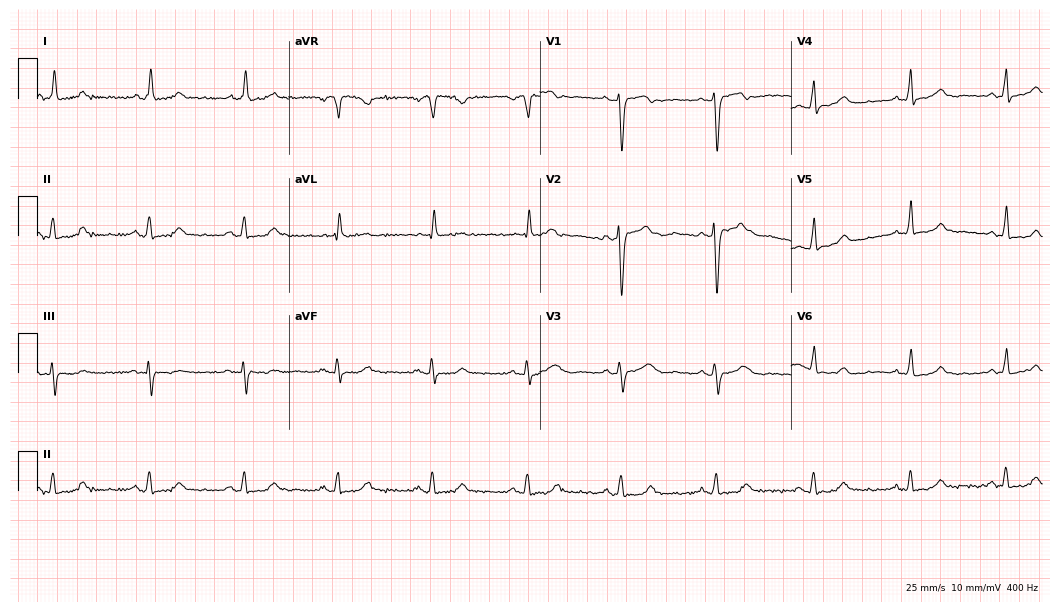
Resting 12-lead electrocardiogram. Patient: a 60-year-old female. Read as a normal ECG.